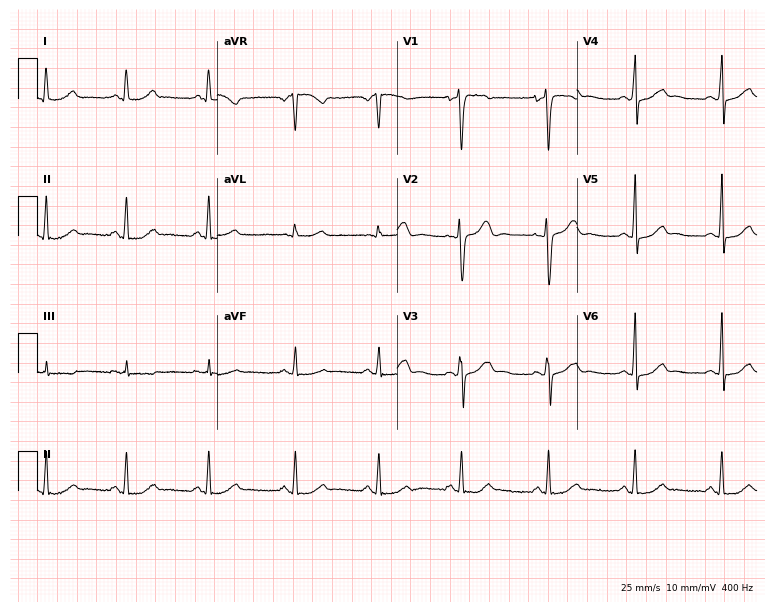
12-lead ECG from a female patient, 29 years old. Screened for six findings — first-degree AV block, right bundle branch block, left bundle branch block, sinus bradycardia, atrial fibrillation, sinus tachycardia — none is recorded. Other findings, if any, are not listed.